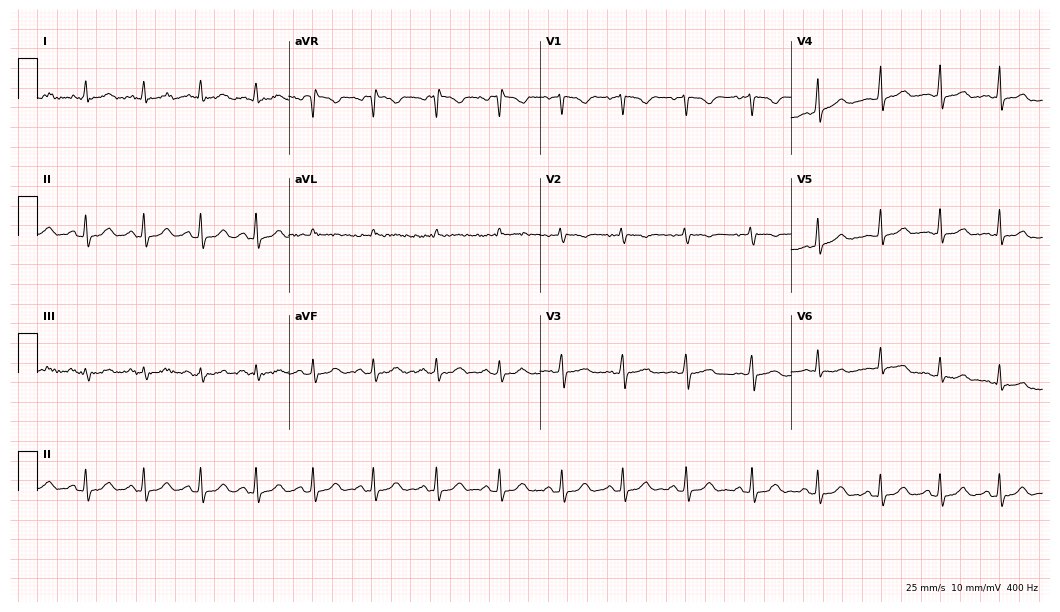
Electrocardiogram (10.2-second recording at 400 Hz), a 22-year-old female patient. Overall reading on record: normal ECG.